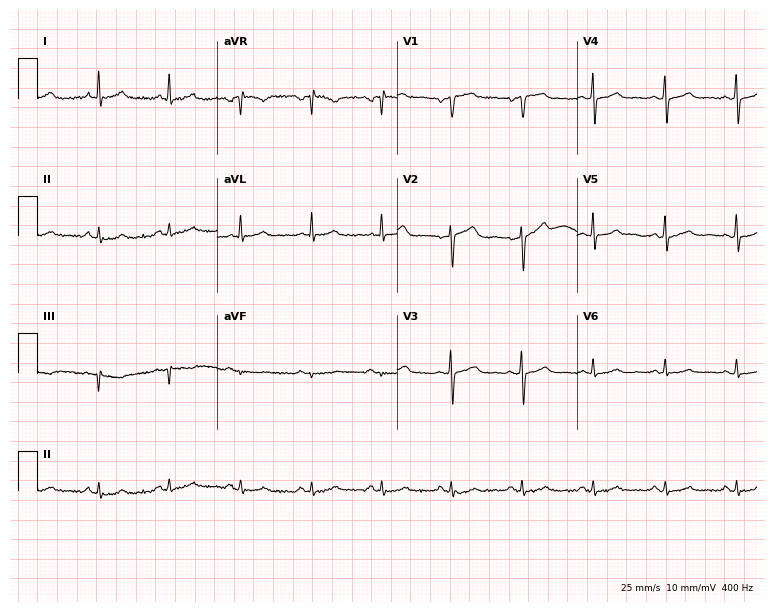
12-lead ECG from a male patient, 69 years old (7.3-second recording at 400 Hz). Recorded interpretation: within normal limits.